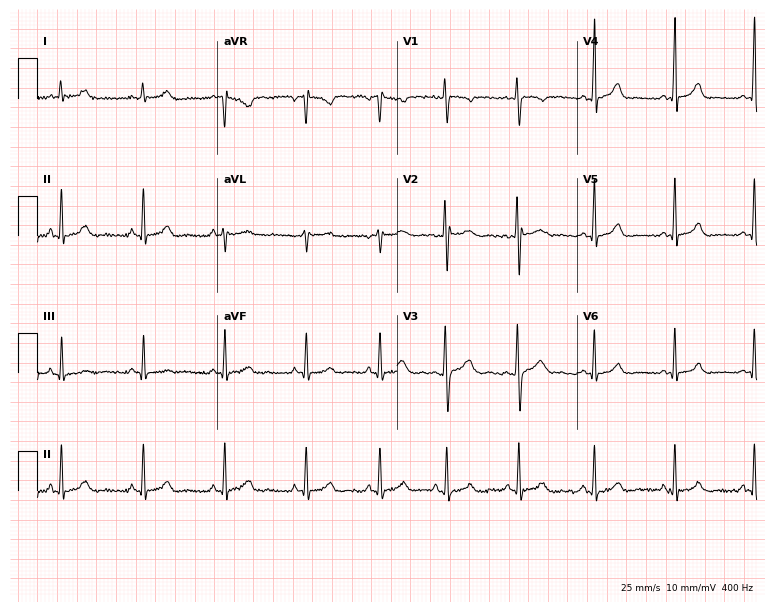
Standard 12-lead ECG recorded from a 19-year-old female (7.3-second recording at 400 Hz). None of these six findings is recorded: first-degree AV block, right bundle branch block (RBBB), left bundle branch block (LBBB), sinus bradycardia, atrial fibrillation (AF), sinus tachycardia. Only these six findings were labelled.